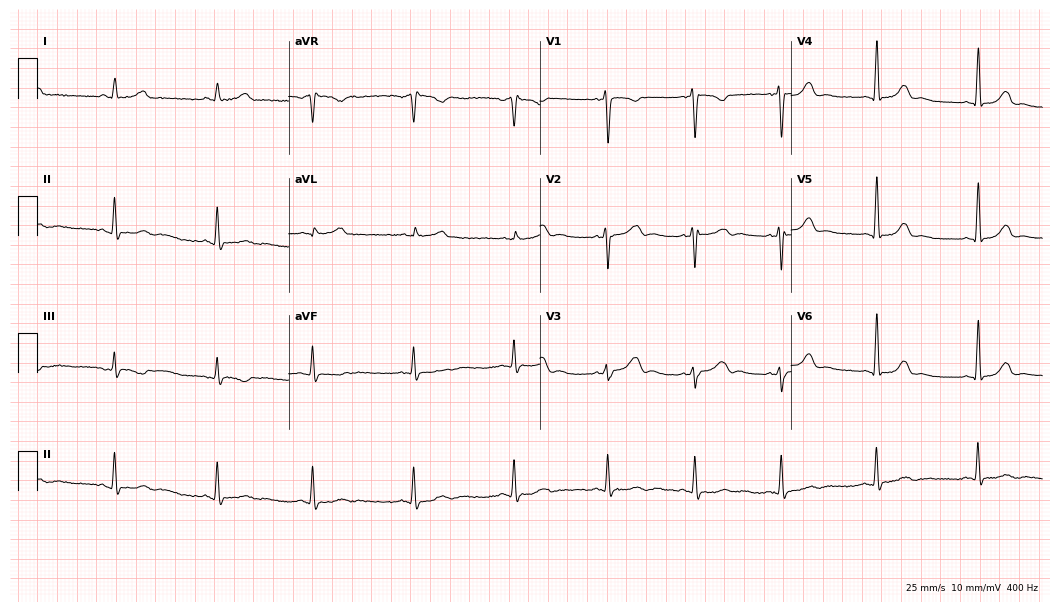
Electrocardiogram, a 30-year-old woman. Of the six screened findings (first-degree AV block, right bundle branch block, left bundle branch block, sinus bradycardia, atrial fibrillation, sinus tachycardia), none is recorded.